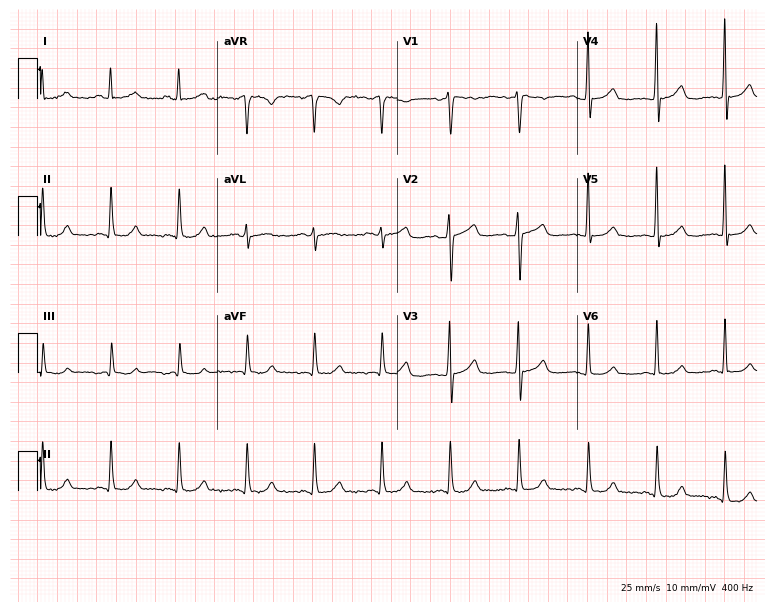
Standard 12-lead ECG recorded from a woman, 74 years old. None of these six findings is recorded: first-degree AV block, right bundle branch block, left bundle branch block, sinus bradycardia, atrial fibrillation, sinus tachycardia.